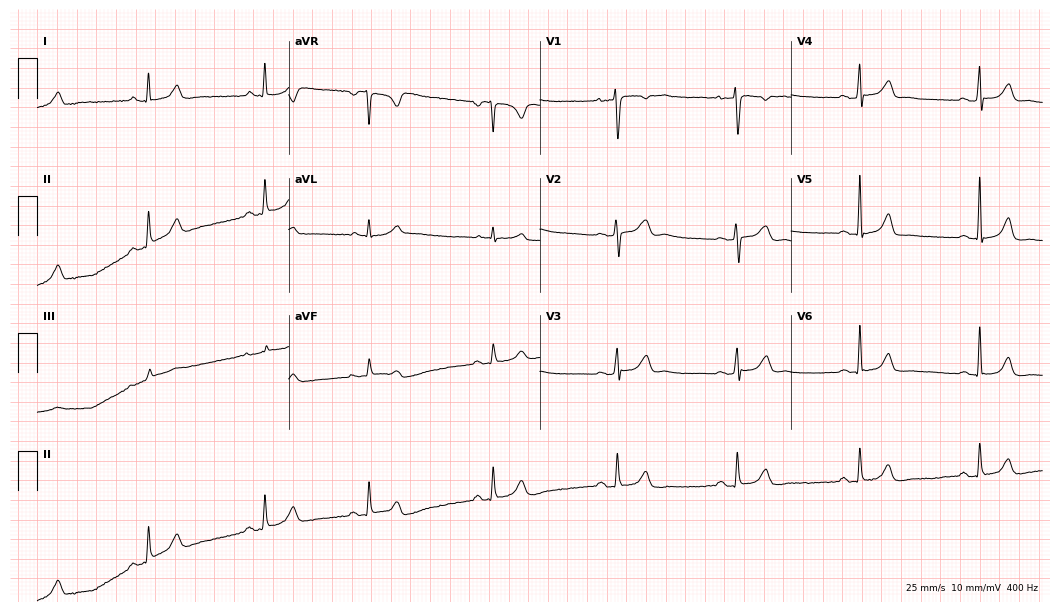
Electrocardiogram (10.2-second recording at 400 Hz), a 31-year-old woman. Interpretation includes sinus bradycardia (a sinus rate of 50 beats per minute or less).